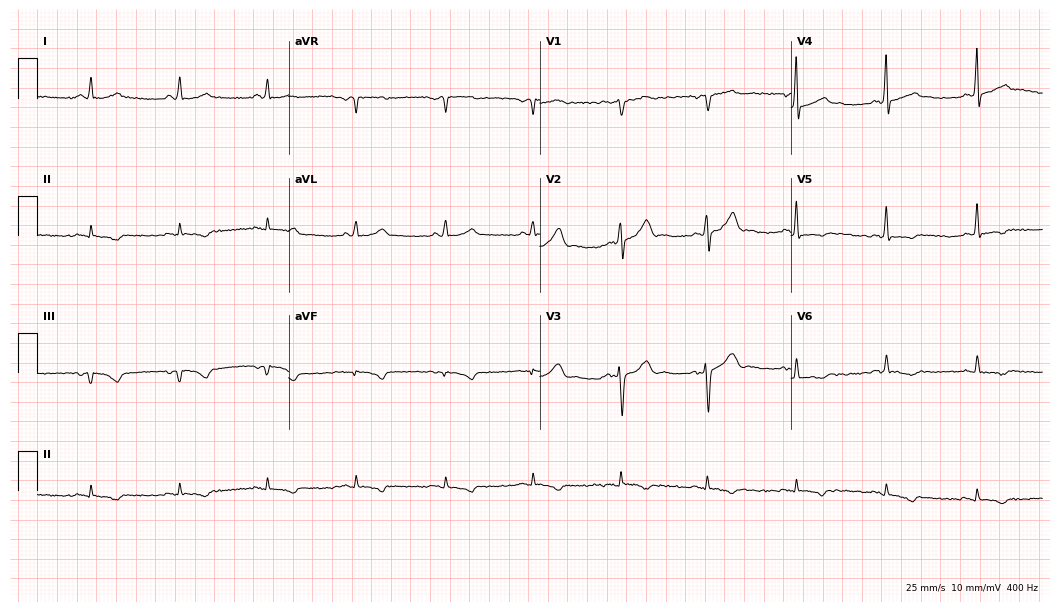
Standard 12-lead ECG recorded from a male, 52 years old. None of these six findings is recorded: first-degree AV block, right bundle branch block, left bundle branch block, sinus bradycardia, atrial fibrillation, sinus tachycardia. Findings outside these six are not listed.